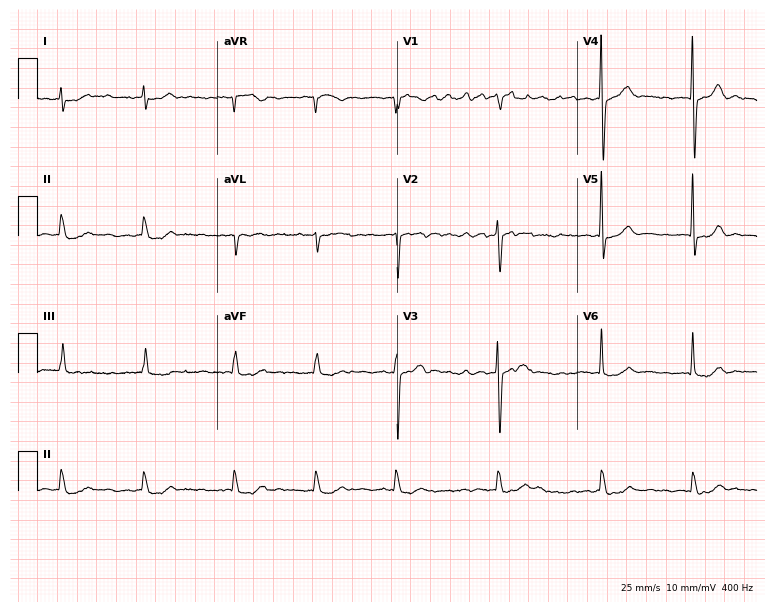
Resting 12-lead electrocardiogram. Patient: a female, 83 years old. The tracing shows atrial fibrillation.